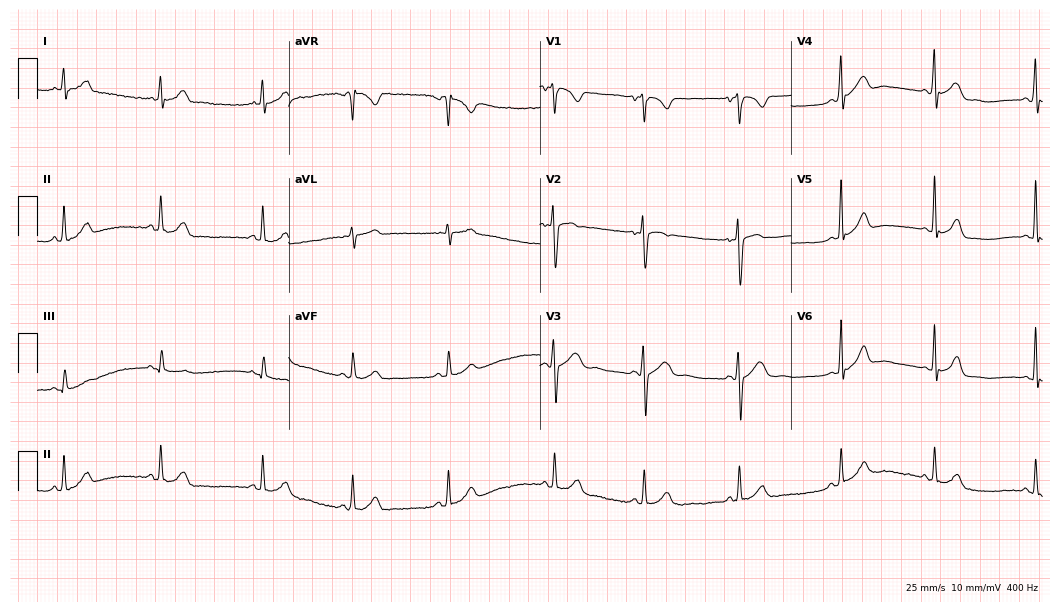
Resting 12-lead electrocardiogram. Patient: a male, 21 years old. Read as a normal ECG.